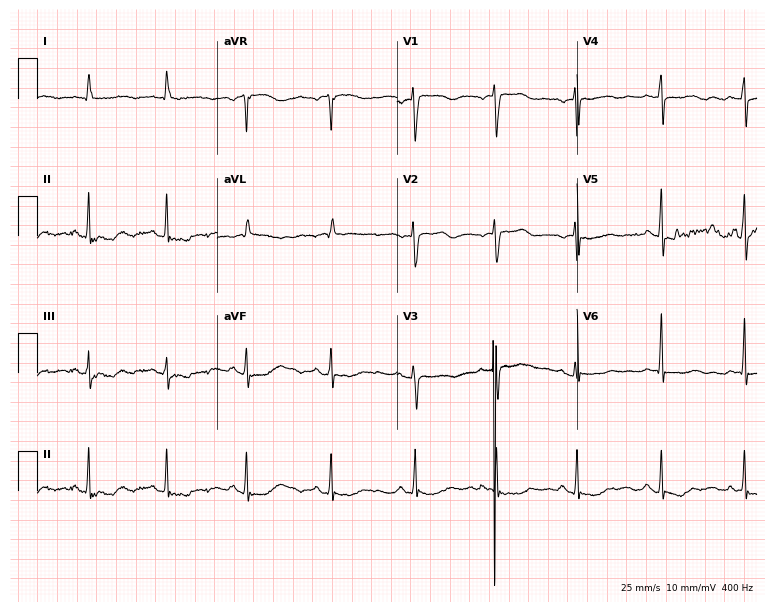
Resting 12-lead electrocardiogram (7.3-second recording at 400 Hz). Patient: a female, 74 years old. None of these six findings is recorded: first-degree AV block, right bundle branch block, left bundle branch block, sinus bradycardia, atrial fibrillation, sinus tachycardia. Findings outside these six are not listed.